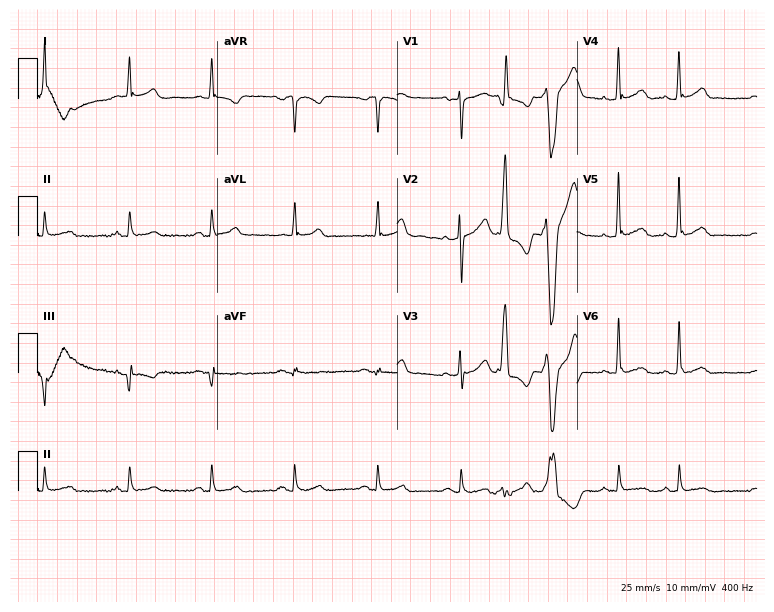
12-lead ECG from a male, 55 years old. Screened for six findings — first-degree AV block, right bundle branch block, left bundle branch block, sinus bradycardia, atrial fibrillation, sinus tachycardia — none is recorded. Other findings, if any, are not listed.